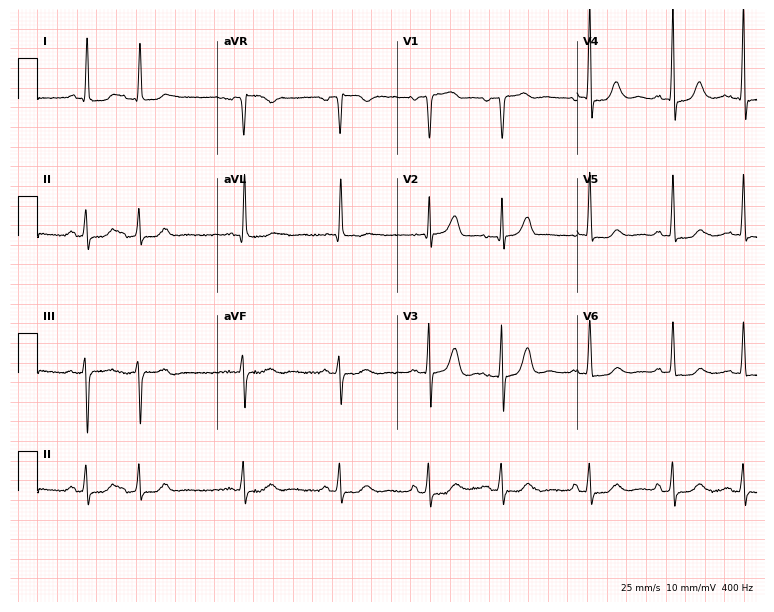
Standard 12-lead ECG recorded from a 75-year-old woman. None of these six findings is recorded: first-degree AV block, right bundle branch block, left bundle branch block, sinus bradycardia, atrial fibrillation, sinus tachycardia.